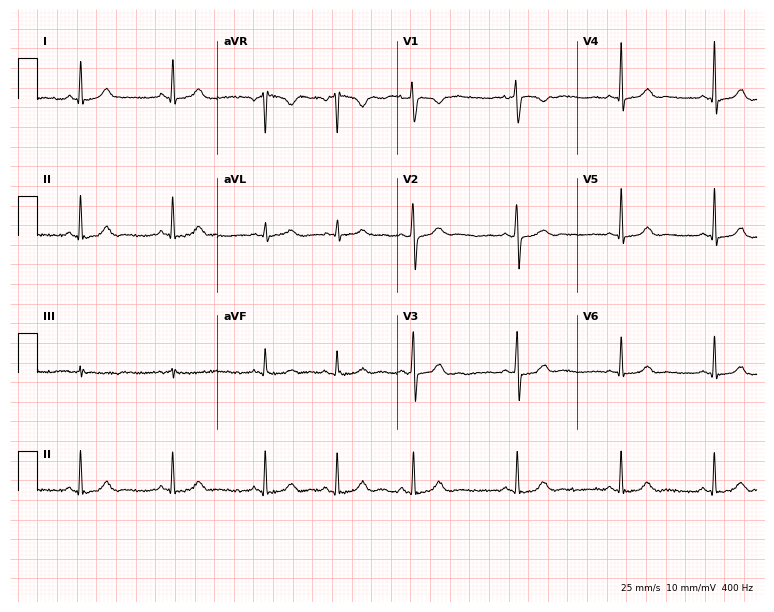
Resting 12-lead electrocardiogram. Patient: a 27-year-old female. None of these six findings is recorded: first-degree AV block, right bundle branch block (RBBB), left bundle branch block (LBBB), sinus bradycardia, atrial fibrillation (AF), sinus tachycardia.